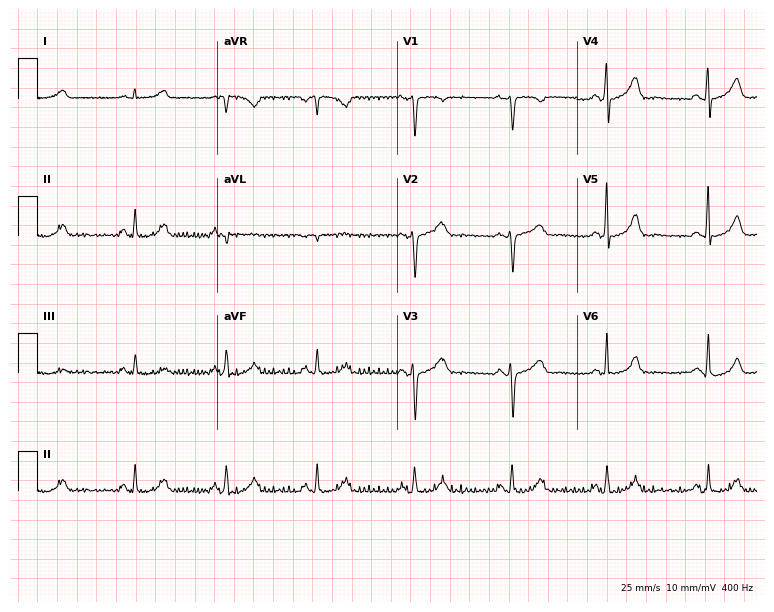
12-lead ECG from a 32-year-old female (7.3-second recording at 400 Hz). No first-degree AV block, right bundle branch block, left bundle branch block, sinus bradycardia, atrial fibrillation or sinus tachycardia recorded for this tracing.